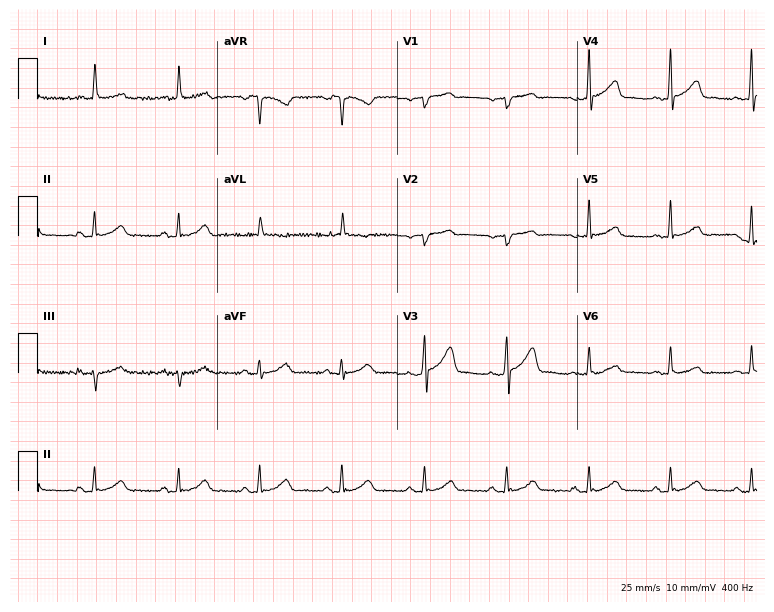
Electrocardiogram (7.3-second recording at 400 Hz), a 54-year-old female patient. Overall reading on record: normal ECG.